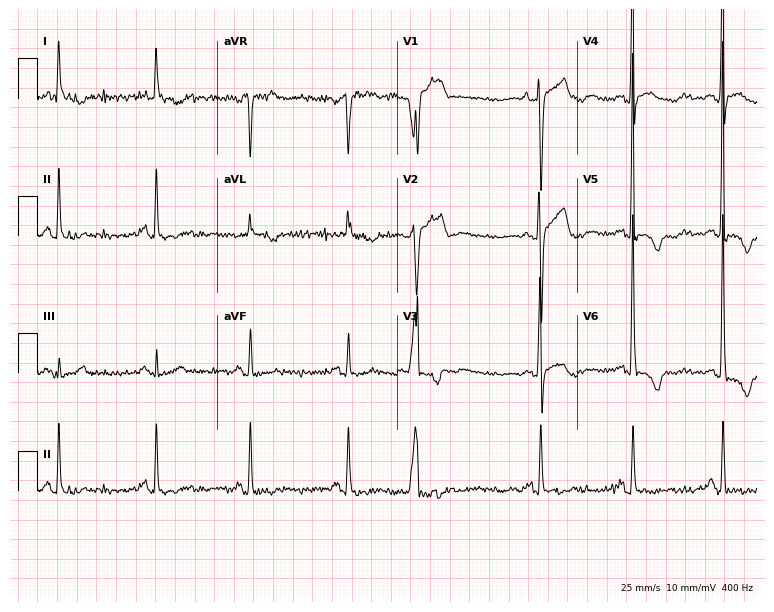
Resting 12-lead electrocardiogram. Patient: a 70-year-old woman. None of these six findings is recorded: first-degree AV block, right bundle branch block, left bundle branch block, sinus bradycardia, atrial fibrillation, sinus tachycardia.